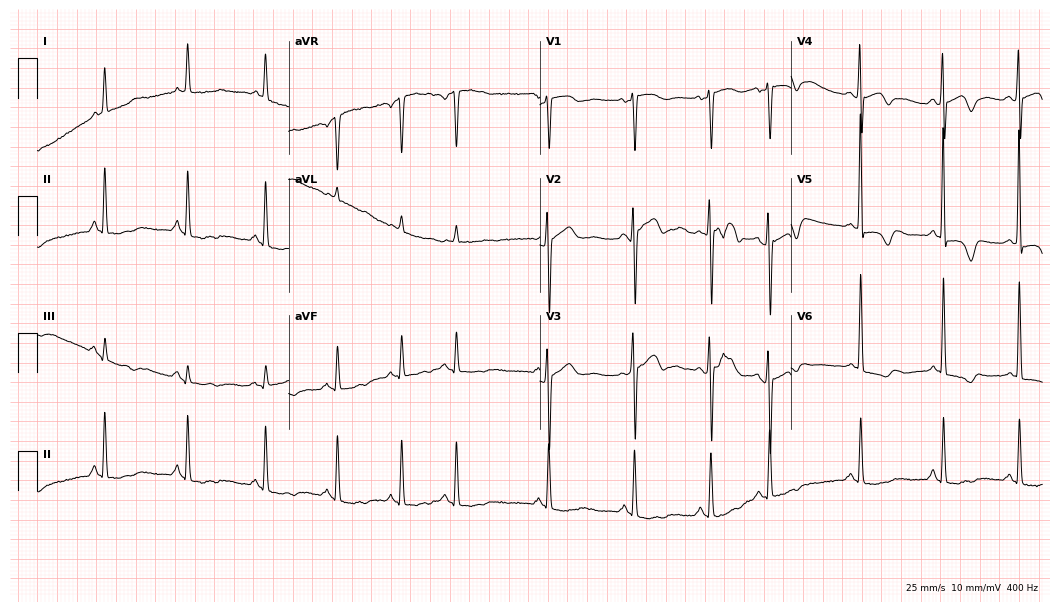
Standard 12-lead ECG recorded from a woman, 83 years old. None of these six findings is recorded: first-degree AV block, right bundle branch block (RBBB), left bundle branch block (LBBB), sinus bradycardia, atrial fibrillation (AF), sinus tachycardia.